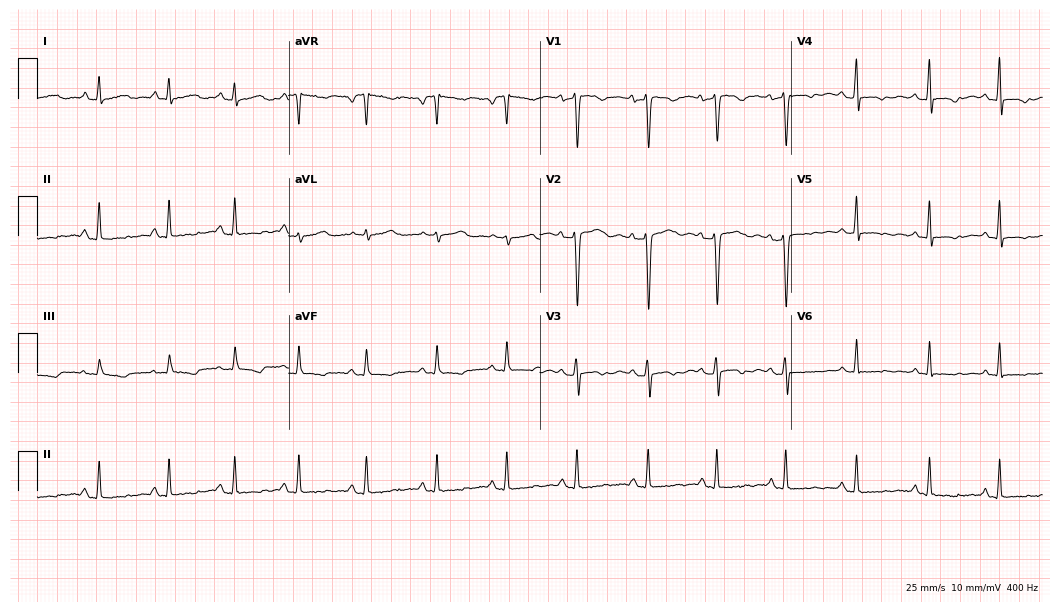
Resting 12-lead electrocardiogram. Patient: a 40-year-old woman. None of these six findings is recorded: first-degree AV block, right bundle branch block, left bundle branch block, sinus bradycardia, atrial fibrillation, sinus tachycardia.